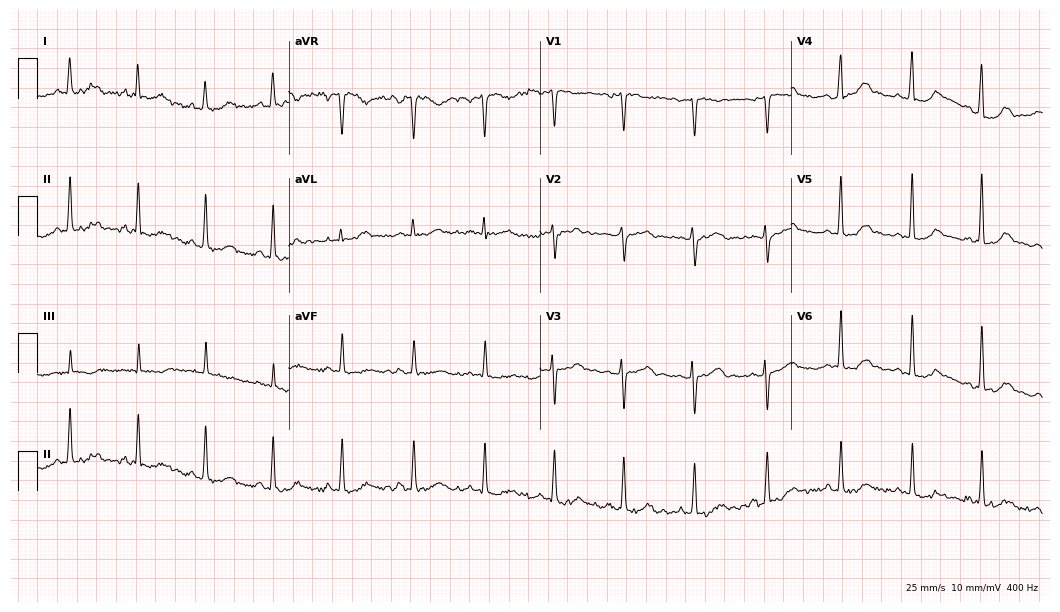
Electrocardiogram (10.2-second recording at 400 Hz), a 51-year-old woman. Overall reading on record: normal ECG.